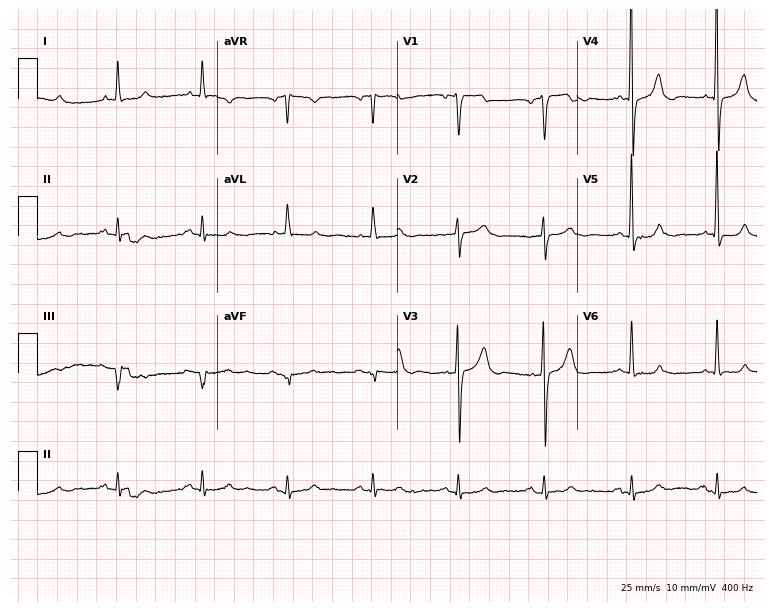
ECG (7.3-second recording at 400 Hz) — a man, 72 years old. Labelled as a normal ECG.